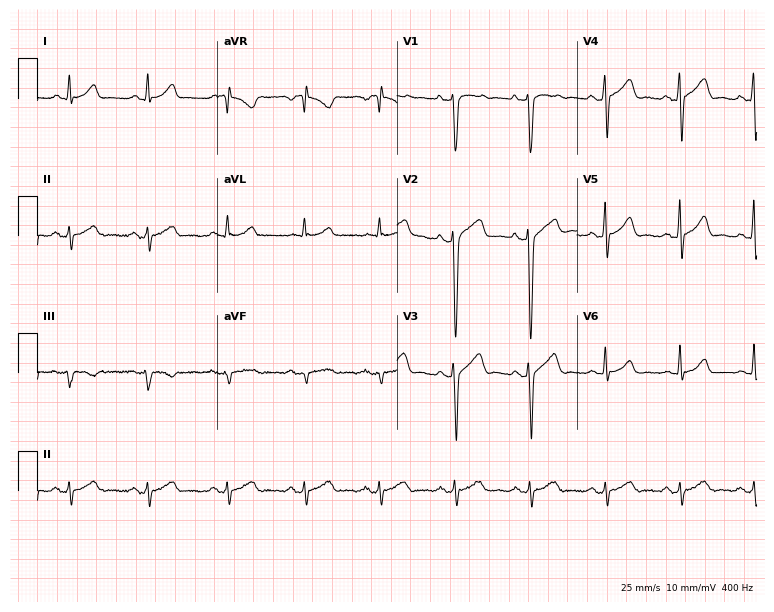
Electrocardiogram (7.3-second recording at 400 Hz), a 30-year-old male patient. Of the six screened findings (first-degree AV block, right bundle branch block, left bundle branch block, sinus bradycardia, atrial fibrillation, sinus tachycardia), none is recorded.